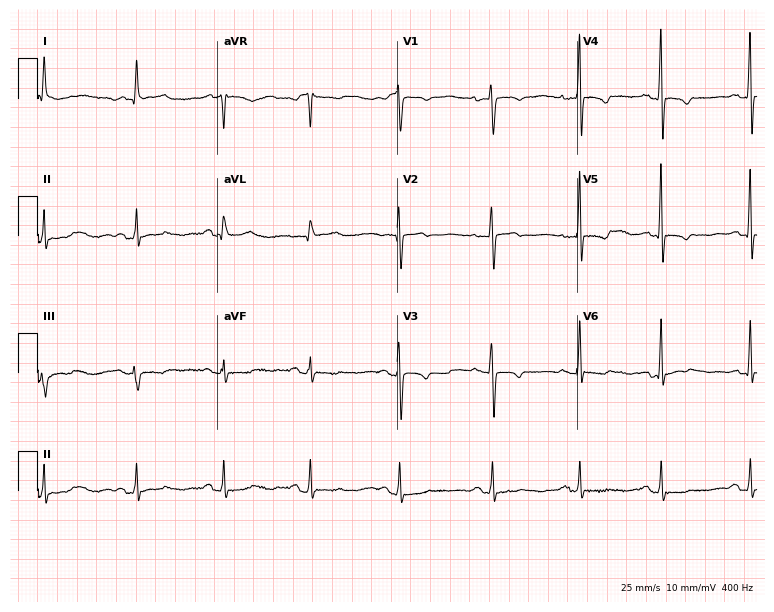
Standard 12-lead ECG recorded from a 62-year-old female (7.3-second recording at 400 Hz). None of these six findings is recorded: first-degree AV block, right bundle branch block, left bundle branch block, sinus bradycardia, atrial fibrillation, sinus tachycardia. Findings outside these six are not listed.